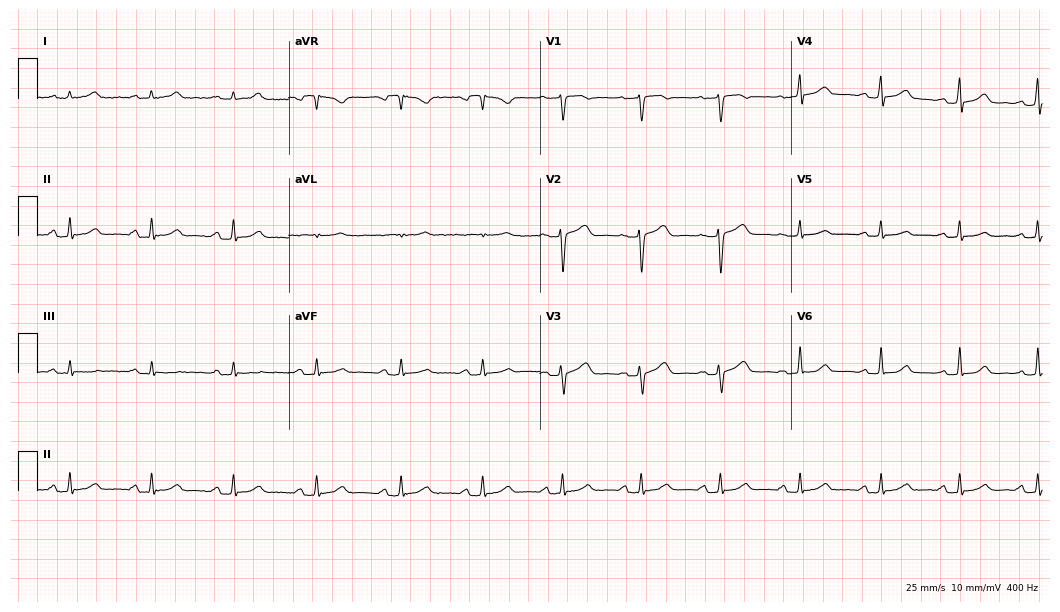
Standard 12-lead ECG recorded from a 55-year-old female patient. Read as a normal ECG.